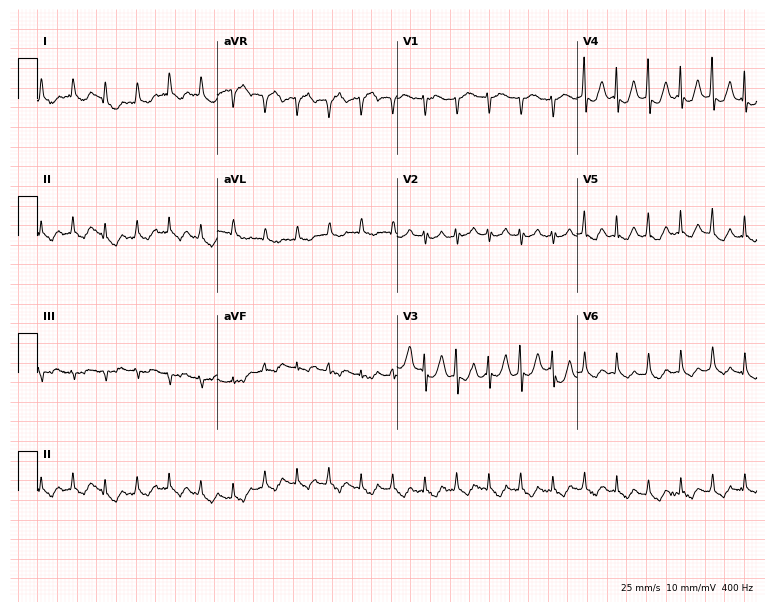
Standard 12-lead ECG recorded from a 64-year-old female (7.3-second recording at 400 Hz). None of these six findings is recorded: first-degree AV block, right bundle branch block, left bundle branch block, sinus bradycardia, atrial fibrillation, sinus tachycardia.